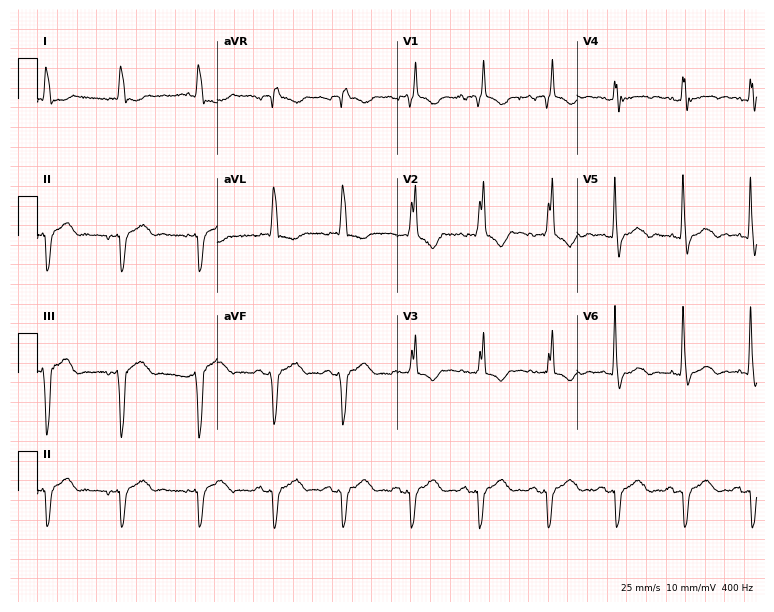
Standard 12-lead ECG recorded from an 83-year-old woman (7.3-second recording at 400 Hz). The tracing shows right bundle branch block, atrial fibrillation.